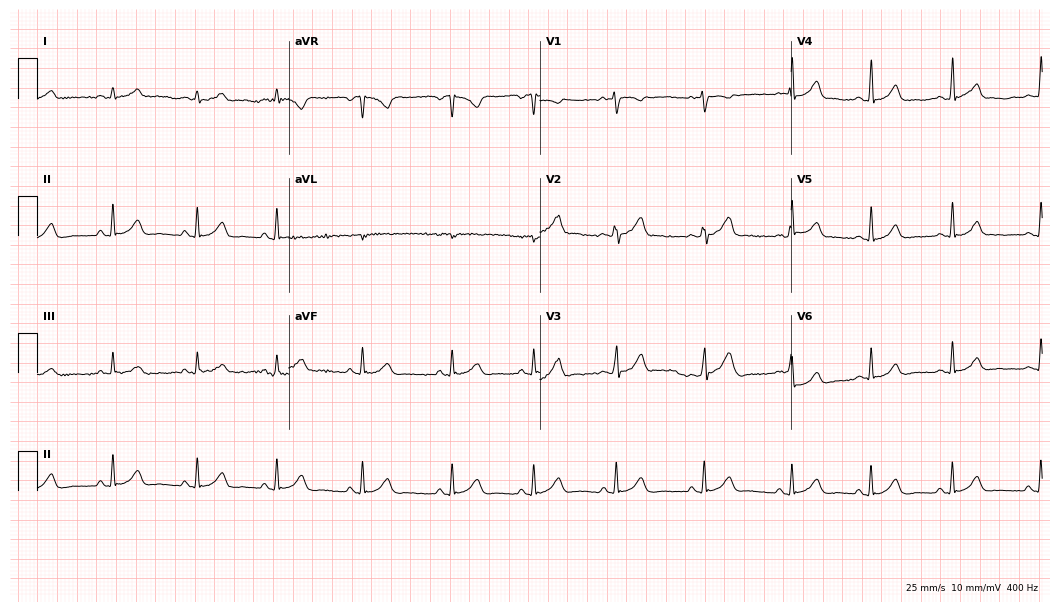
12-lead ECG from a 24-year-old female (10.2-second recording at 400 Hz). Recorded interpretation: within normal limits.